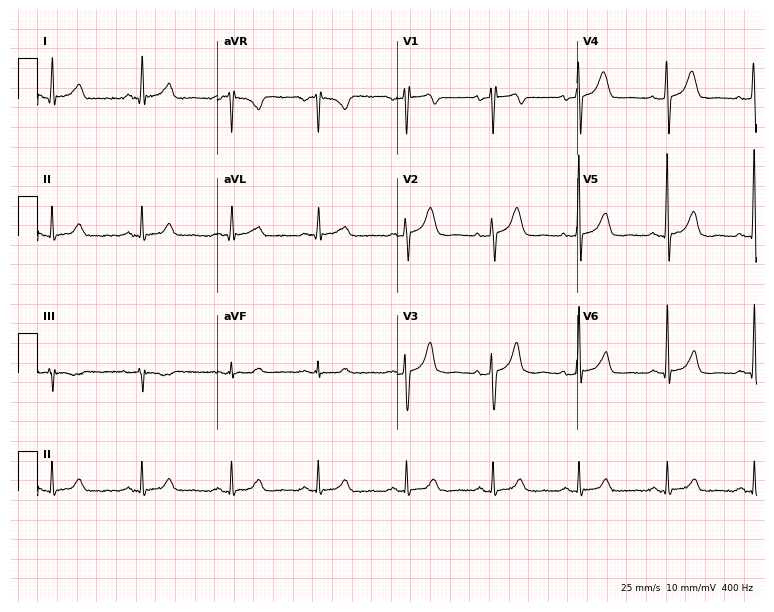
Resting 12-lead electrocardiogram. Patient: a 55-year-old female. None of these six findings is recorded: first-degree AV block, right bundle branch block, left bundle branch block, sinus bradycardia, atrial fibrillation, sinus tachycardia. Findings outside these six are not listed.